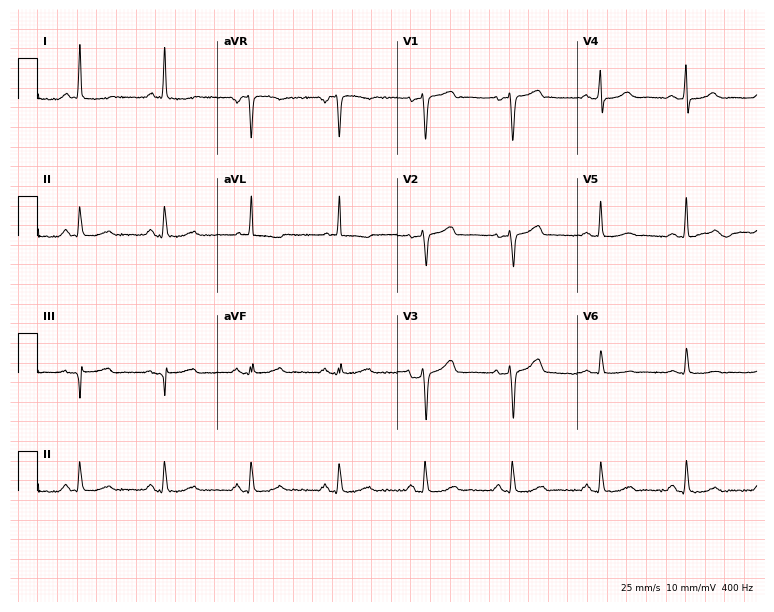
Standard 12-lead ECG recorded from a female, 58 years old (7.3-second recording at 400 Hz). None of these six findings is recorded: first-degree AV block, right bundle branch block, left bundle branch block, sinus bradycardia, atrial fibrillation, sinus tachycardia. Findings outside these six are not listed.